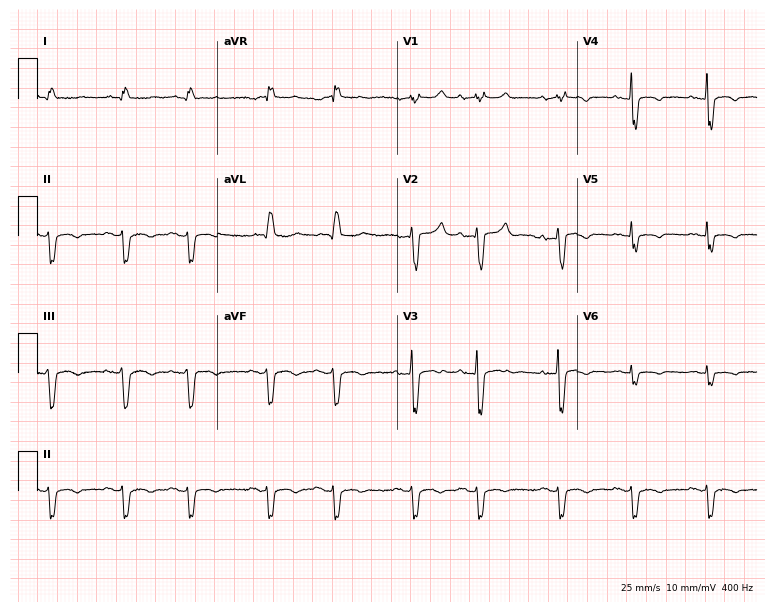
12-lead ECG (7.3-second recording at 400 Hz) from a 73-year-old male. Findings include right bundle branch block.